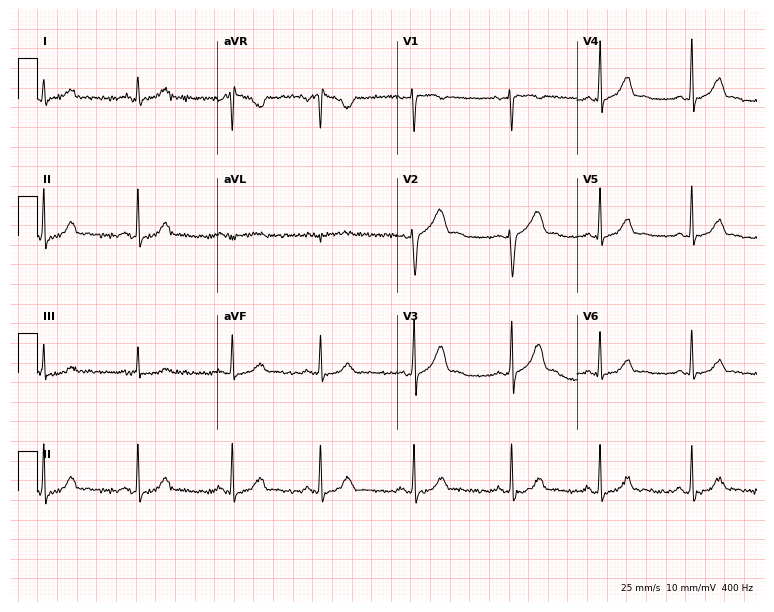
12-lead ECG from a female patient, 29 years old. No first-degree AV block, right bundle branch block (RBBB), left bundle branch block (LBBB), sinus bradycardia, atrial fibrillation (AF) or sinus tachycardia recorded for this tracing.